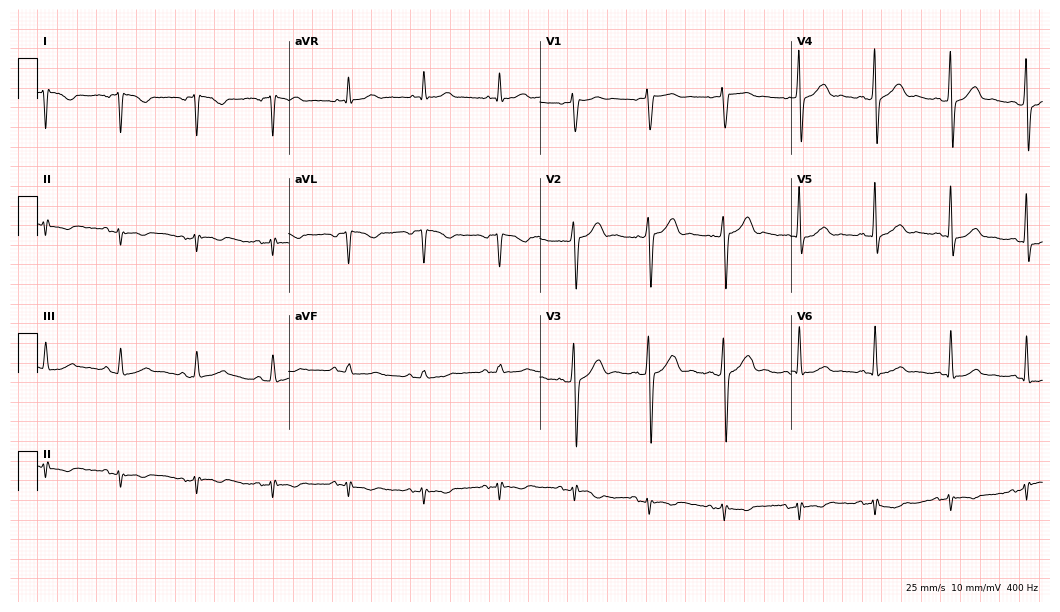
Electrocardiogram (10.2-second recording at 400 Hz), a female patient, 61 years old. Of the six screened findings (first-degree AV block, right bundle branch block (RBBB), left bundle branch block (LBBB), sinus bradycardia, atrial fibrillation (AF), sinus tachycardia), none is recorded. Other findings, if any, are not listed.